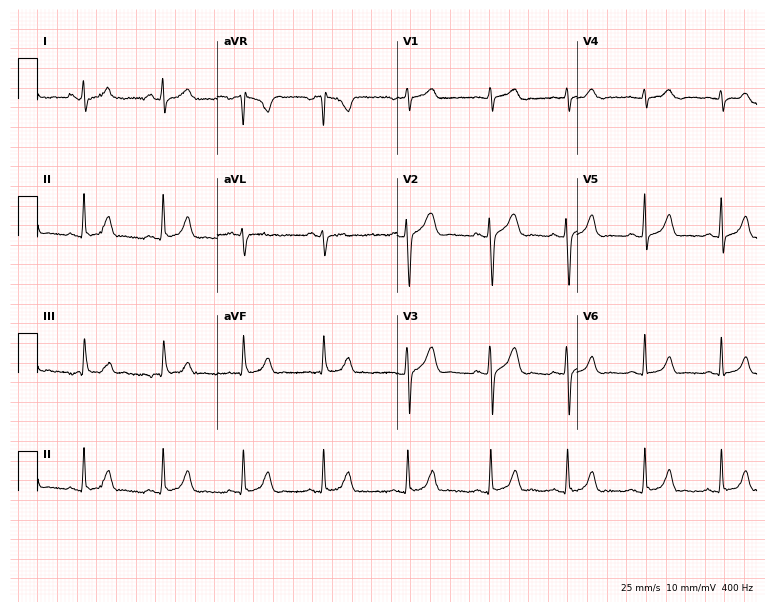
ECG (7.3-second recording at 400 Hz) — a 28-year-old female patient. Labelled as a normal ECG.